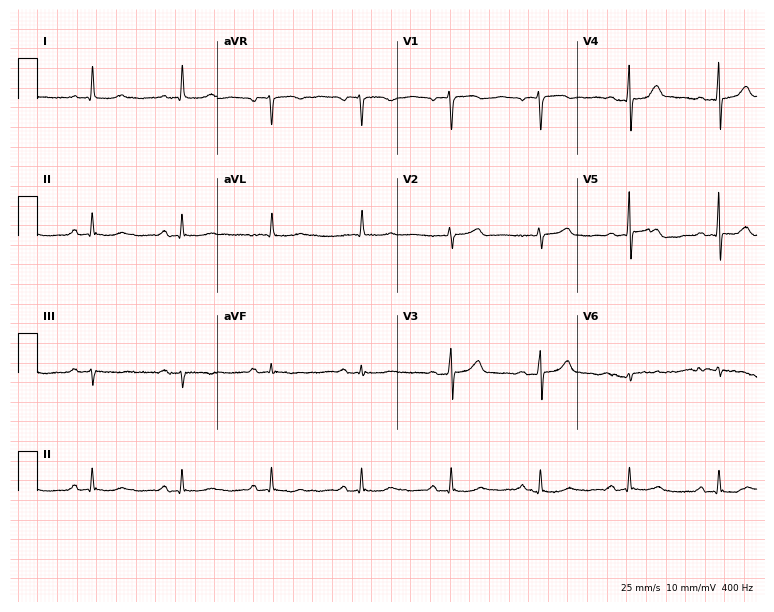
12-lead ECG (7.3-second recording at 400 Hz) from a 58-year-old man. Screened for six findings — first-degree AV block, right bundle branch block, left bundle branch block, sinus bradycardia, atrial fibrillation, sinus tachycardia — none is recorded. Findings outside these six are not listed.